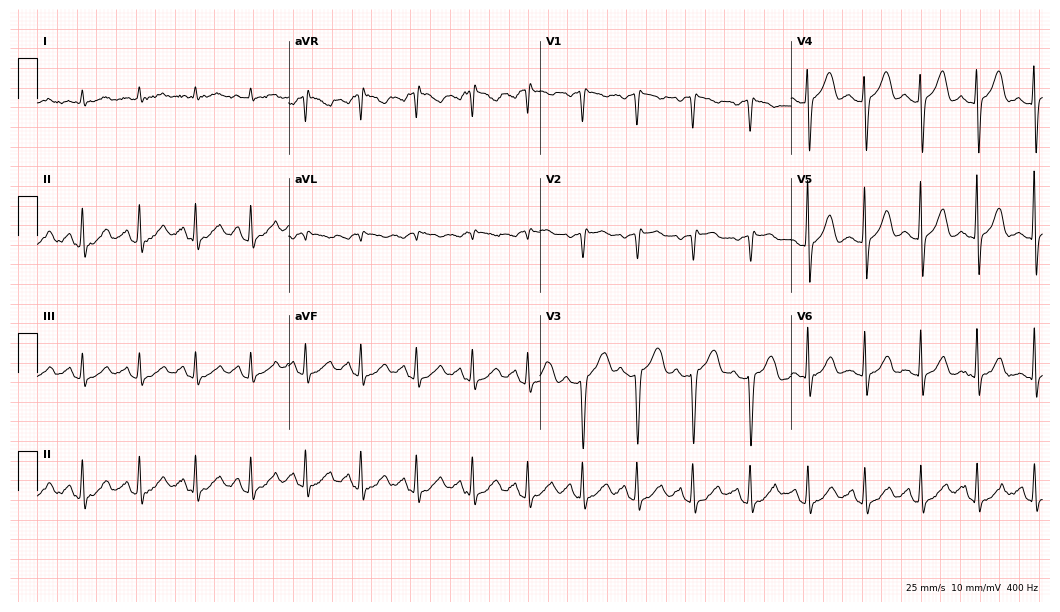
12-lead ECG from a man, 58 years old. Screened for six findings — first-degree AV block, right bundle branch block, left bundle branch block, sinus bradycardia, atrial fibrillation, sinus tachycardia — none is recorded. Findings outside these six are not listed.